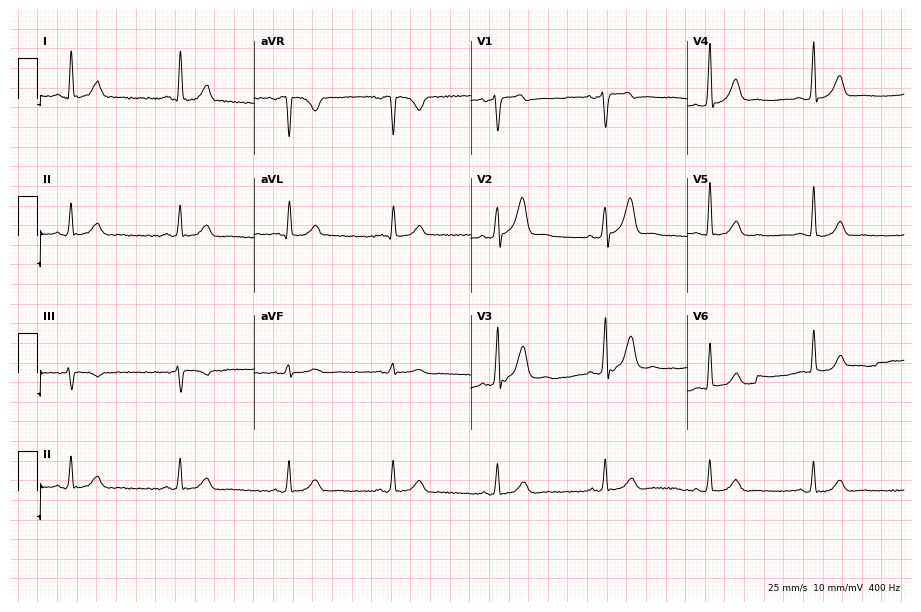
Standard 12-lead ECG recorded from a male, 52 years old (8.8-second recording at 400 Hz). Read as a normal ECG.